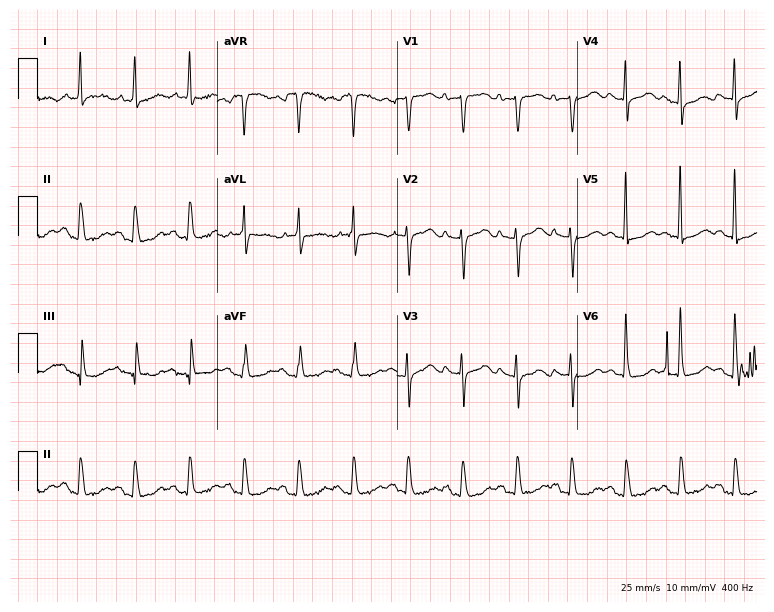
Resting 12-lead electrocardiogram (7.3-second recording at 400 Hz). Patient: an 82-year-old female. The tracing shows sinus tachycardia (a sinus rate of 100 beats per minute or more).